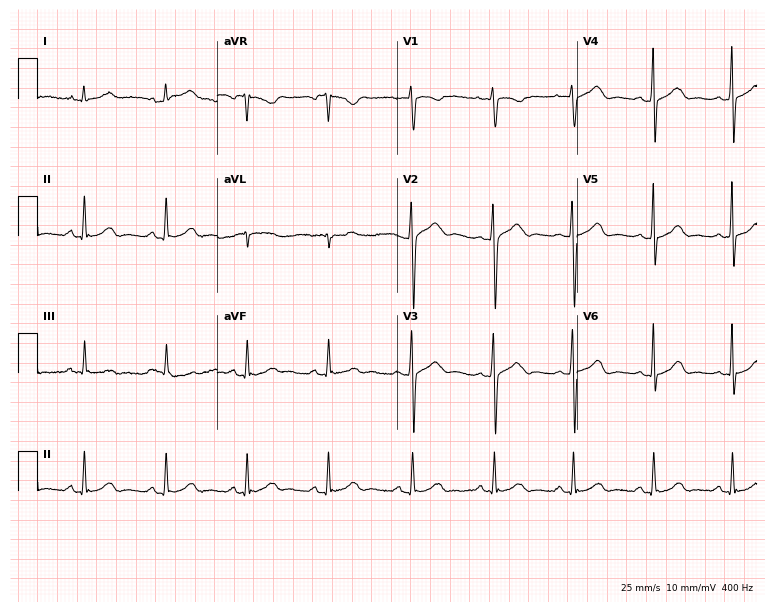
Resting 12-lead electrocardiogram (7.3-second recording at 400 Hz). Patient: a 25-year-old woman. None of these six findings is recorded: first-degree AV block, right bundle branch block, left bundle branch block, sinus bradycardia, atrial fibrillation, sinus tachycardia.